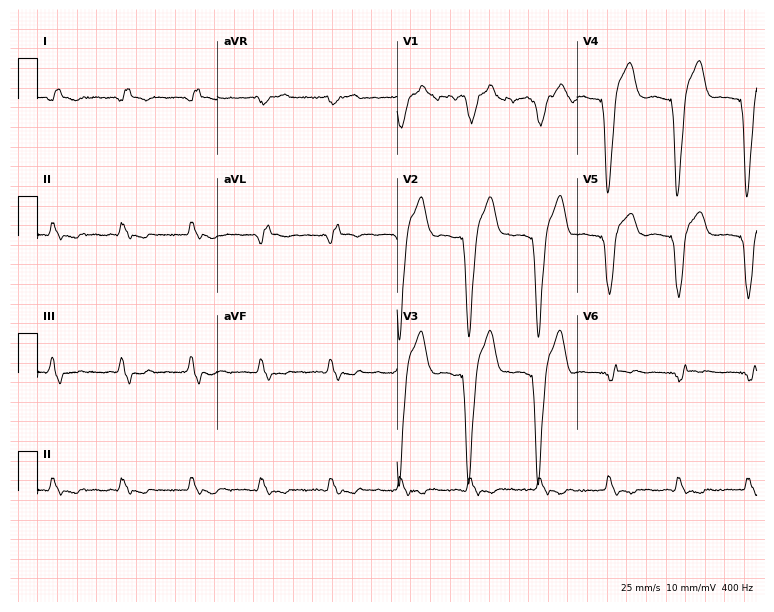
Resting 12-lead electrocardiogram. Patient: a man, 70 years old. None of these six findings is recorded: first-degree AV block, right bundle branch block (RBBB), left bundle branch block (LBBB), sinus bradycardia, atrial fibrillation (AF), sinus tachycardia.